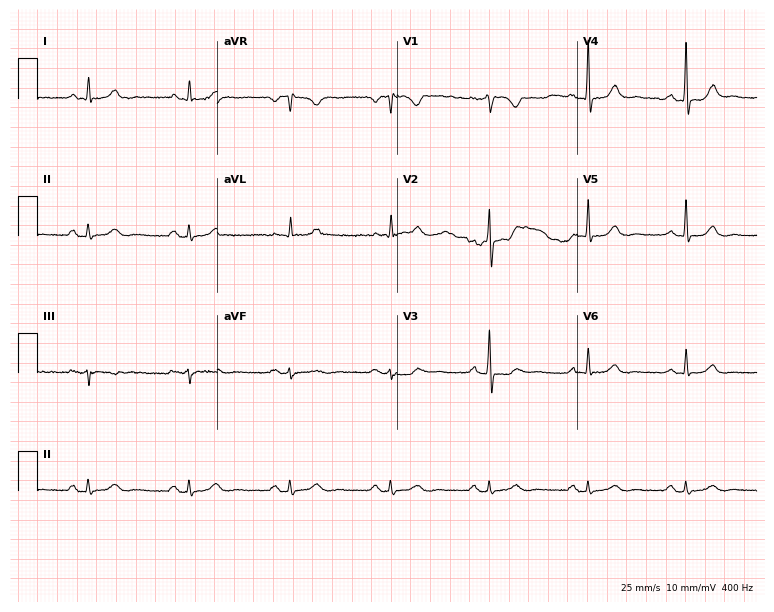
Standard 12-lead ECG recorded from a man, 65 years old. Read as a normal ECG.